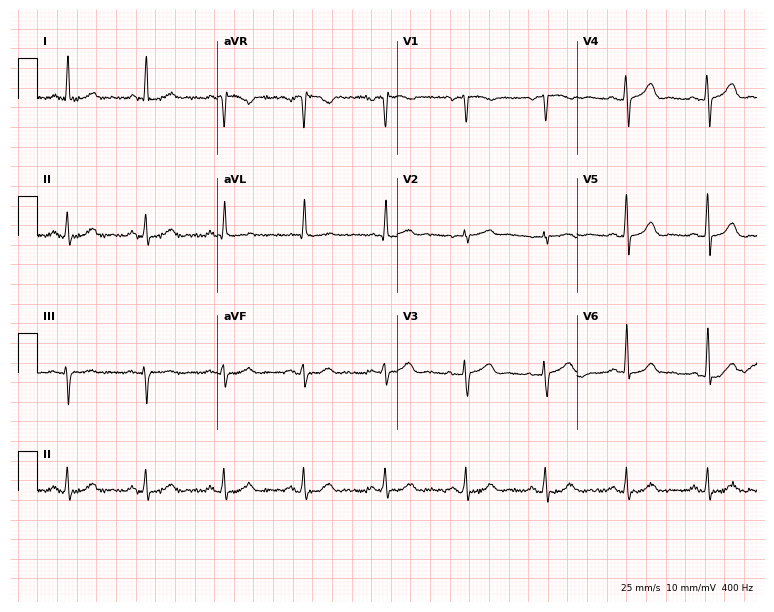
12-lead ECG from an 81-year-old female (7.3-second recording at 400 Hz). Recorded interpretation: within normal limits.